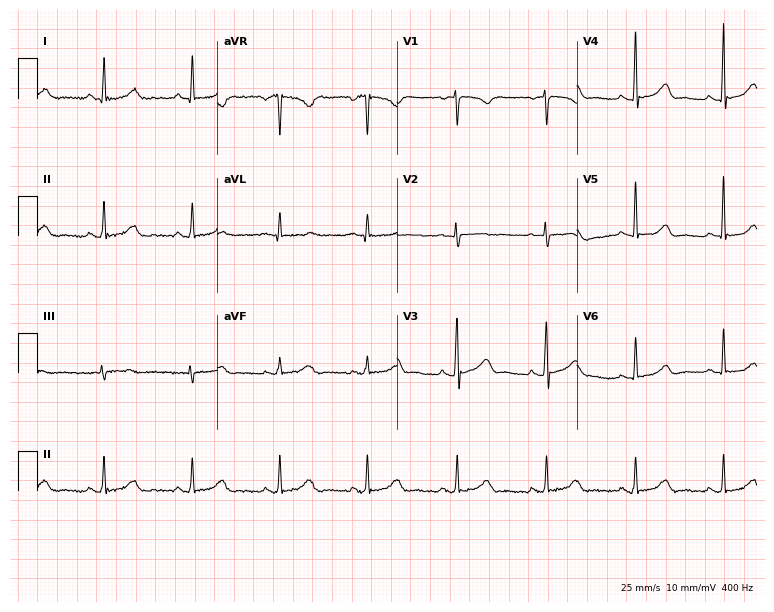
Resting 12-lead electrocardiogram. Patient: a 49-year-old female. None of these six findings is recorded: first-degree AV block, right bundle branch block, left bundle branch block, sinus bradycardia, atrial fibrillation, sinus tachycardia.